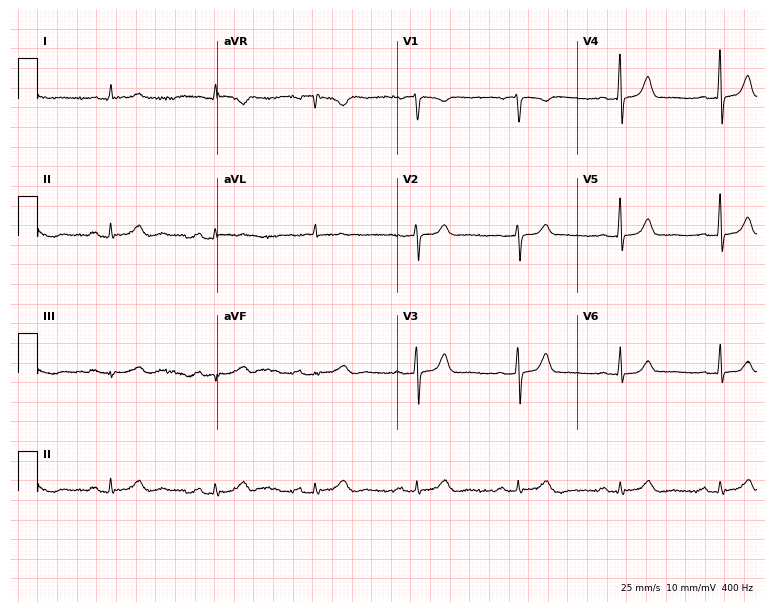
Electrocardiogram, a 78-year-old female patient. Of the six screened findings (first-degree AV block, right bundle branch block, left bundle branch block, sinus bradycardia, atrial fibrillation, sinus tachycardia), none is recorded. Findings outside these six are not listed.